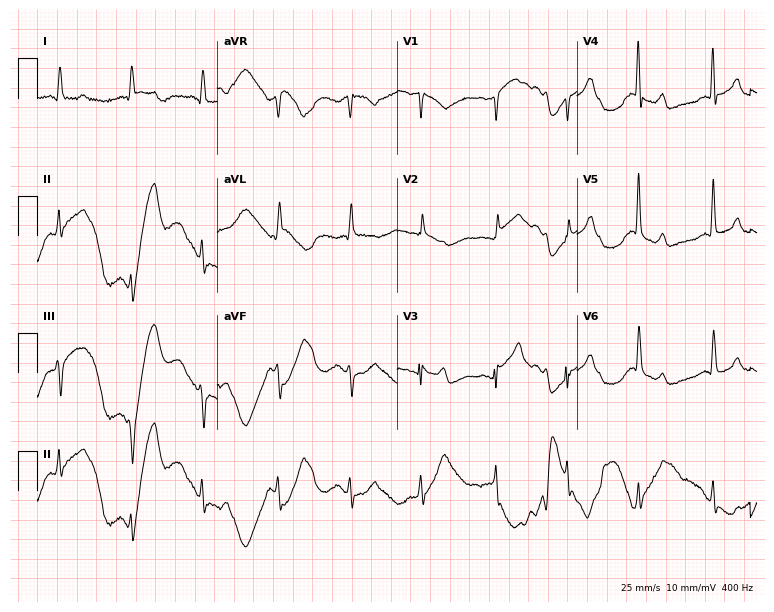
12-lead ECG from a 75-year-old woman (7.3-second recording at 400 Hz). No first-degree AV block, right bundle branch block, left bundle branch block, sinus bradycardia, atrial fibrillation or sinus tachycardia recorded for this tracing.